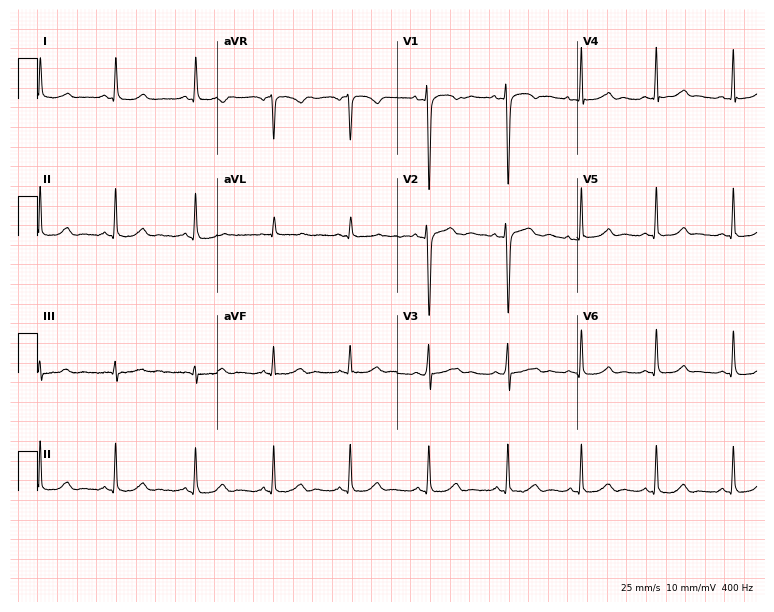
Electrocardiogram, a female patient, 24 years old. Overall reading on record: normal ECG.